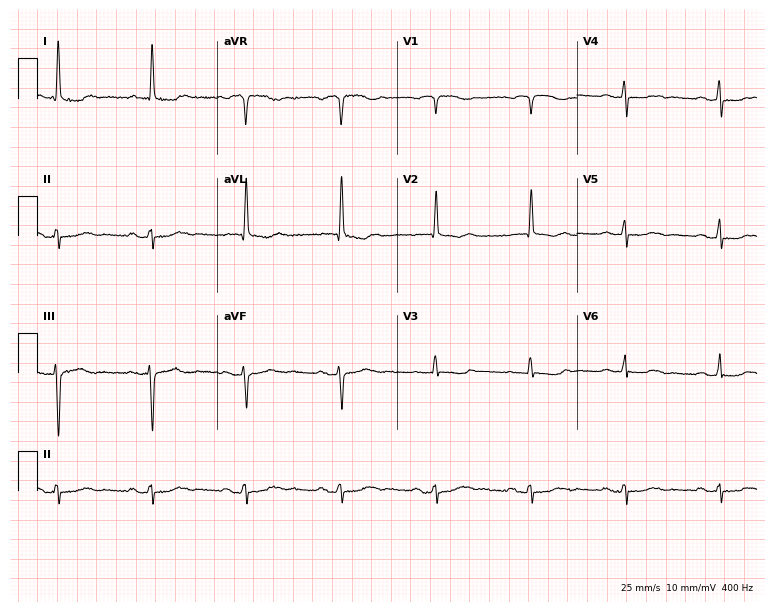
12-lead ECG (7.3-second recording at 400 Hz) from a 71-year-old female. Screened for six findings — first-degree AV block, right bundle branch block, left bundle branch block, sinus bradycardia, atrial fibrillation, sinus tachycardia — none is recorded. Other findings, if any, are not listed.